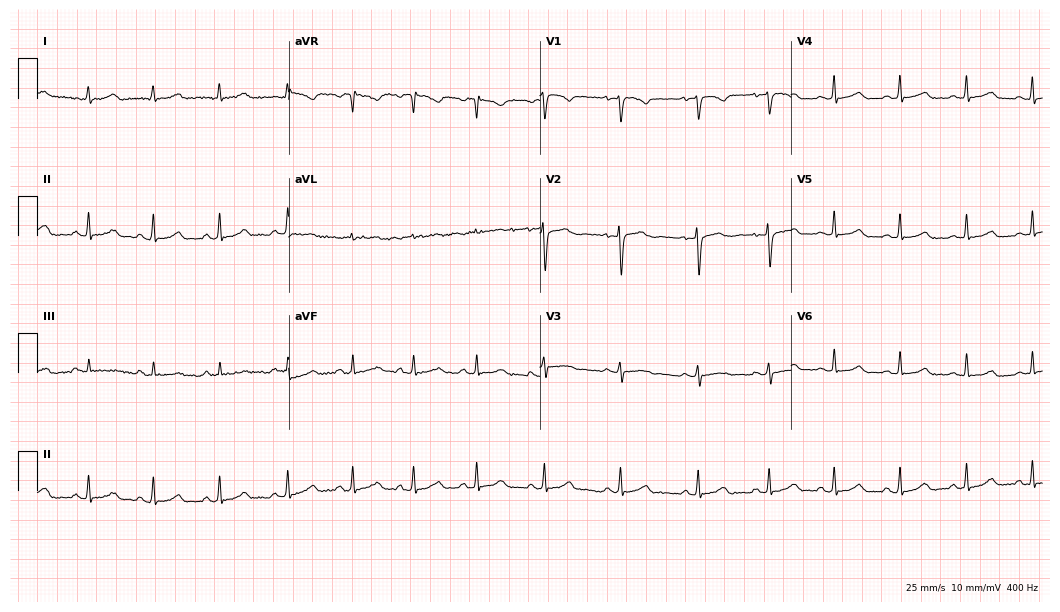
Resting 12-lead electrocardiogram. Patient: a woman, 17 years old. None of these six findings is recorded: first-degree AV block, right bundle branch block, left bundle branch block, sinus bradycardia, atrial fibrillation, sinus tachycardia. Only these six findings were labelled.